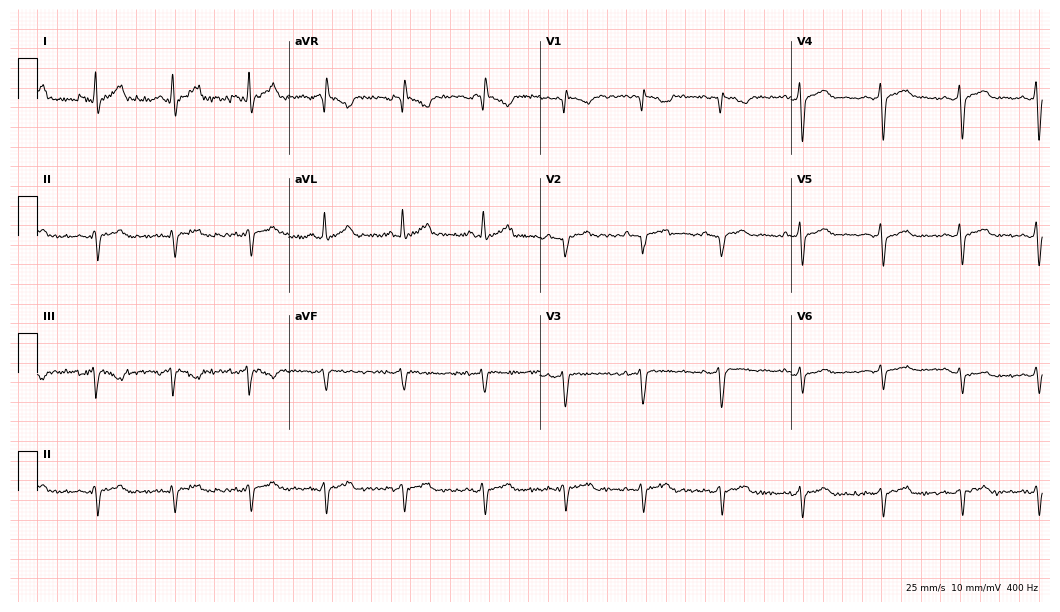
12-lead ECG (10.2-second recording at 400 Hz) from a male, 40 years old. Screened for six findings — first-degree AV block, right bundle branch block, left bundle branch block, sinus bradycardia, atrial fibrillation, sinus tachycardia — none is recorded.